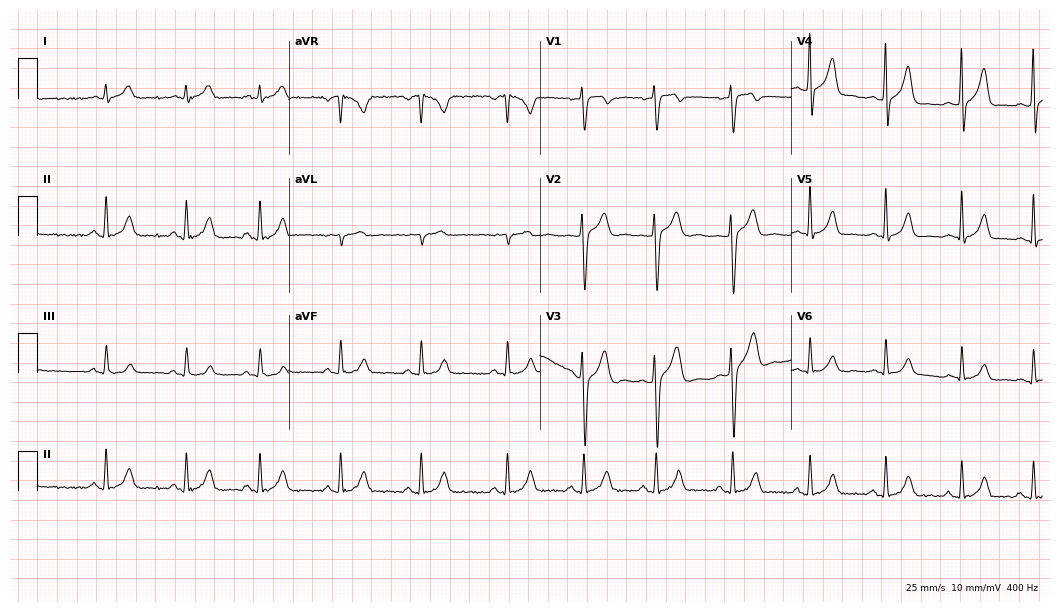
Standard 12-lead ECG recorded from a 23-year-old man. Read as a normal ECG.